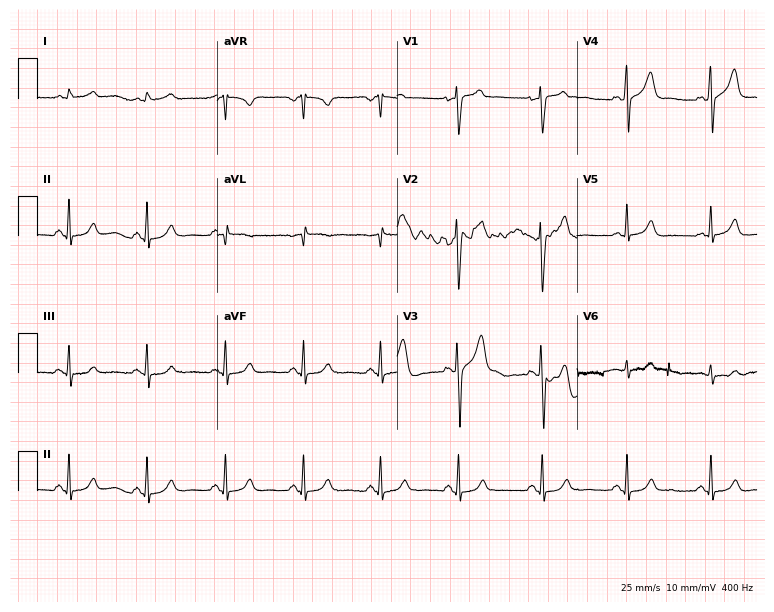
Standard 12-lead ECG recorded from a 34-year-old man. Read as a normal ECG.